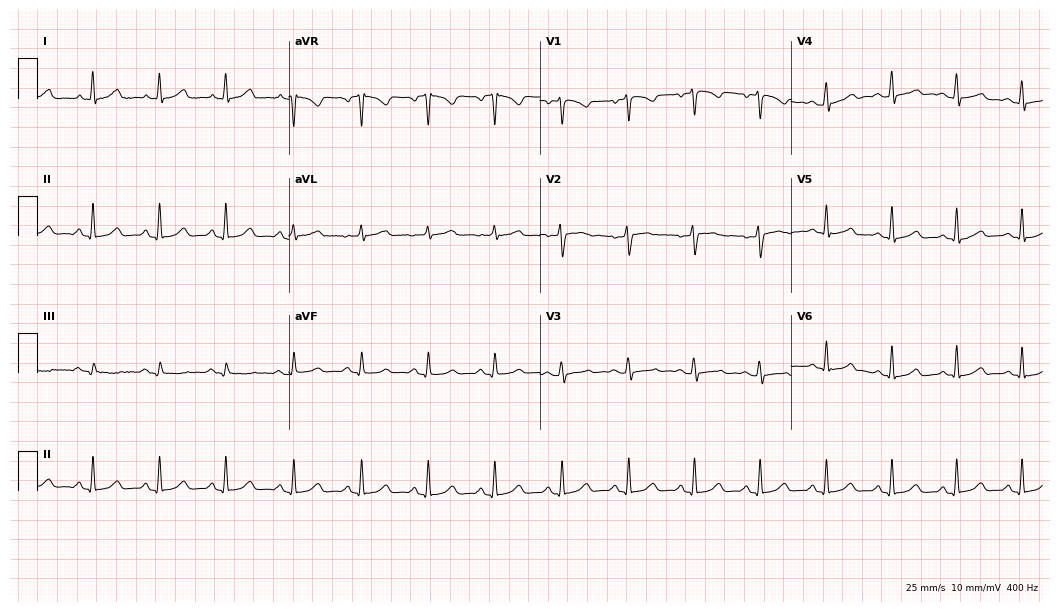
12-lead ECG from a 38-year-old female patient. Labelled as a normal ECG.